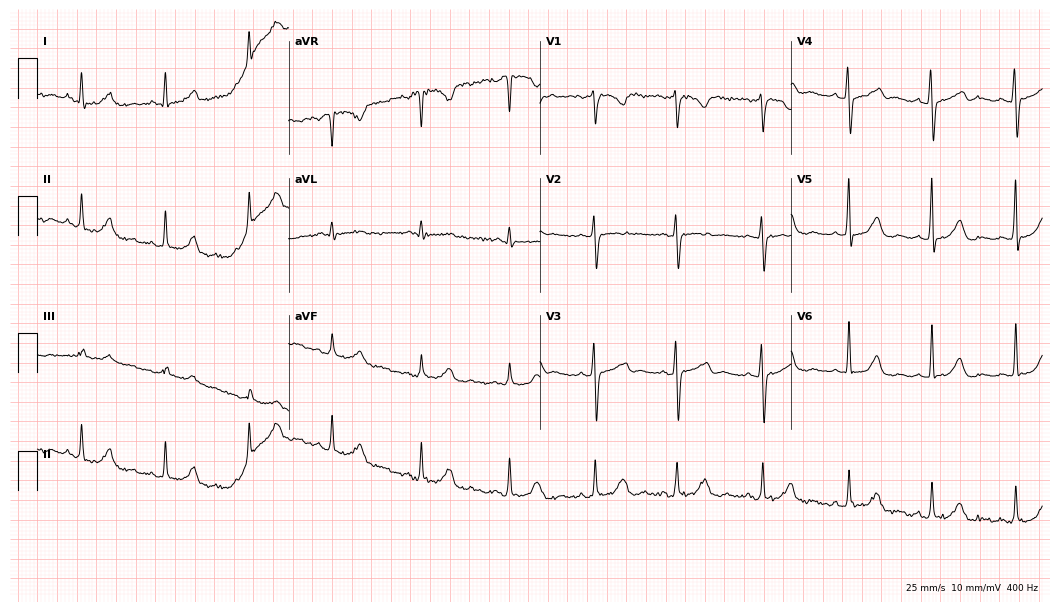
Resting 12-lead electrocardiogram (10.2-second recording at 400 Hz). Patient: a 41-year-old female. Read as a normal ECG.